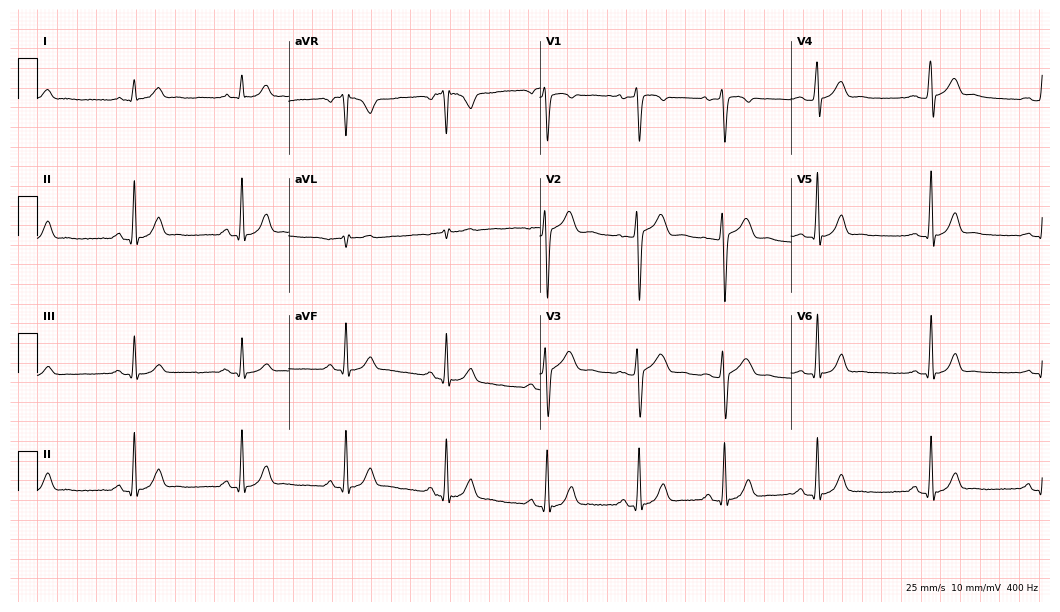
Standard 12-lead ECG recorded from a male patient, 26 years old (10.2-second recording at 400 Hz). None of these six findings is recorded: first-degree AV block, right bundle branch block, left bundle branch block, sinus bradycardia, atrial fibrillation, sinus tachycardia.